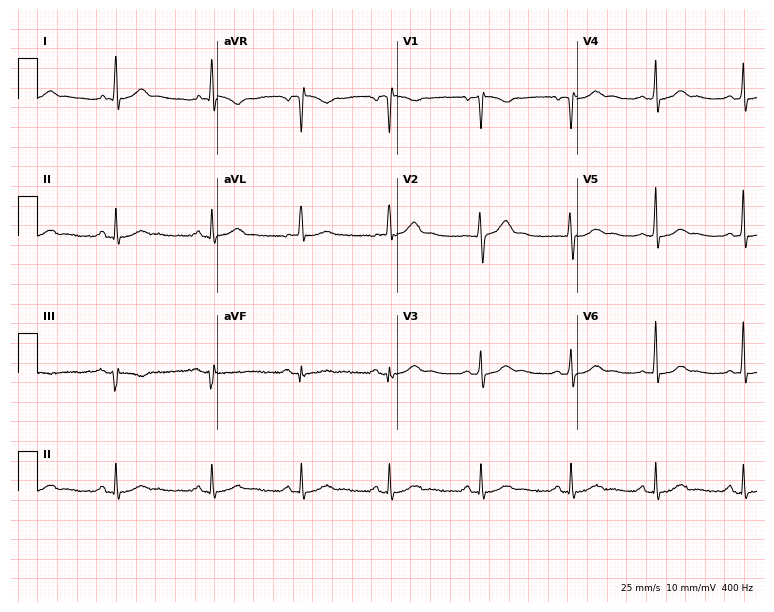
ECG (7.3-second recording at 400 Hz) — a 29-year-old man. Screened for six findings — first-degree AV block, right bundle branch block (RBBB), left bundle branch block (LBBB), sinus bradycardia, atrial fibrillation (AF), sinus tachycardia — none is recorded.